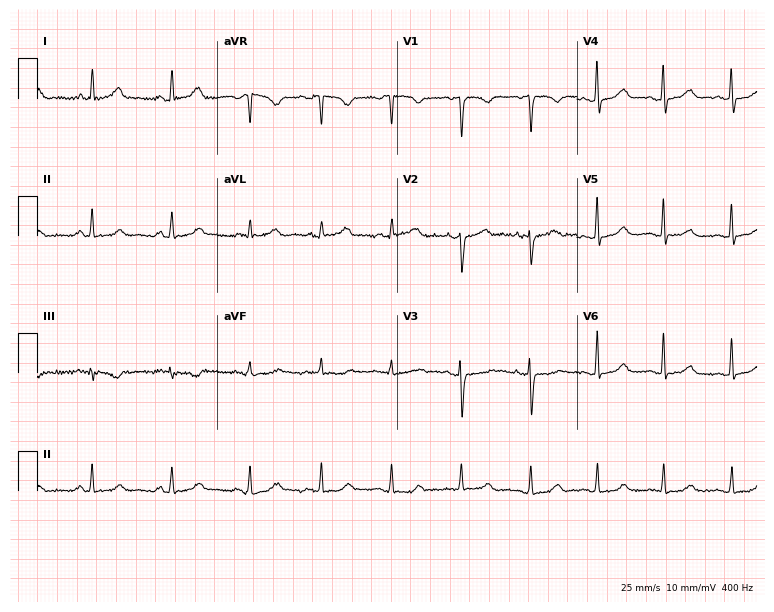
12-lead ECG from a female patient, 44 years old (7.3-second recording at 400 Hz). Recorded interpretation: within normal limits.